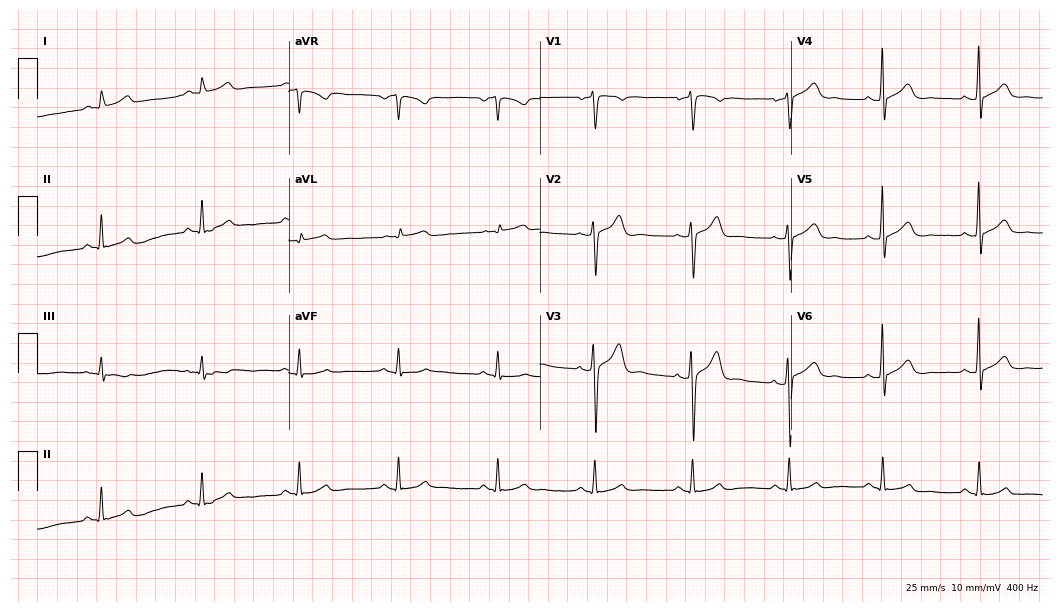
12-lead ECG from a 33-year-old man (10.2-second recording at 400 Hz). No first-degree AV block, right bundle branch block, left bundle branch block, sinus bradycardia, atrial fibrillation or sinus tachycardia recorded for this tracing. Other findings, if any, are not listed.